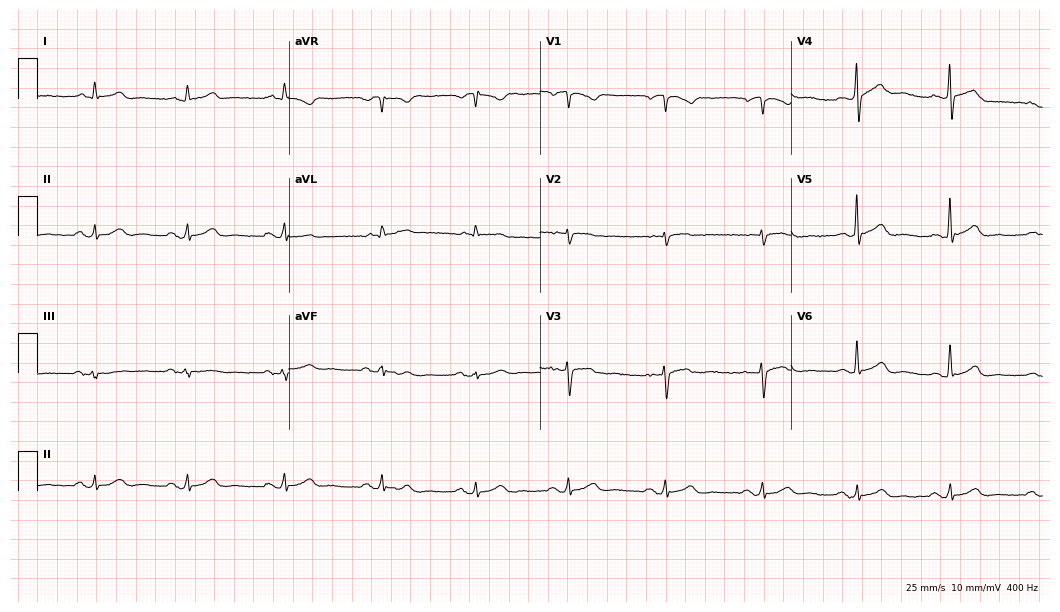
12-lead ECG (10.2-second recording at 400 Hz) from a male, 71 years old. Screened for six findings — first-degree AV block, right bundle branch block (RBBB), left bundle branch block (LBBB), sinus bradycardia, atrial fibrillation (AF), sinus tachycardia — none is recorded.